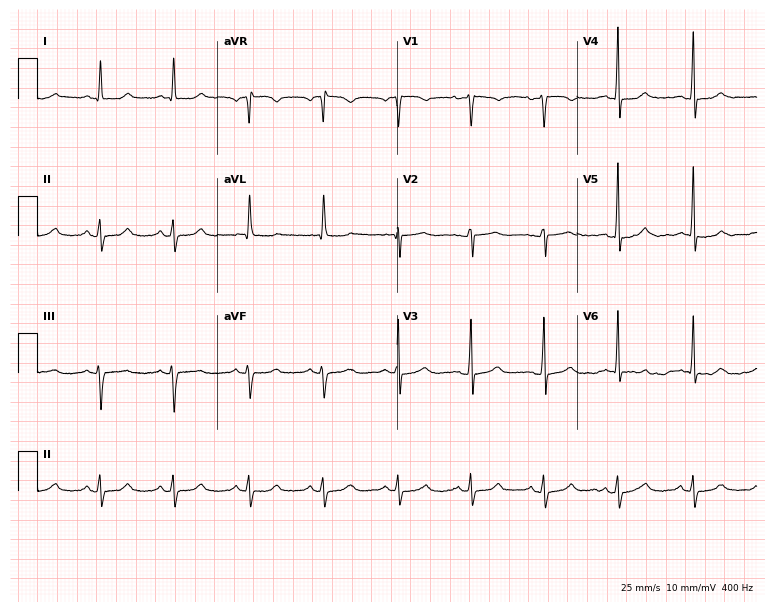
Standard 12-lead ECG recorded from a woman, 68 years old (7.3-second recording at 400 Hz). None of these six findings is recorded: first-degree AV block, right bundle branch block, left bundle branch block, sinus bradycardia, atrial fibrillation, sinus tachycardia. Findings outside these six are not listed.